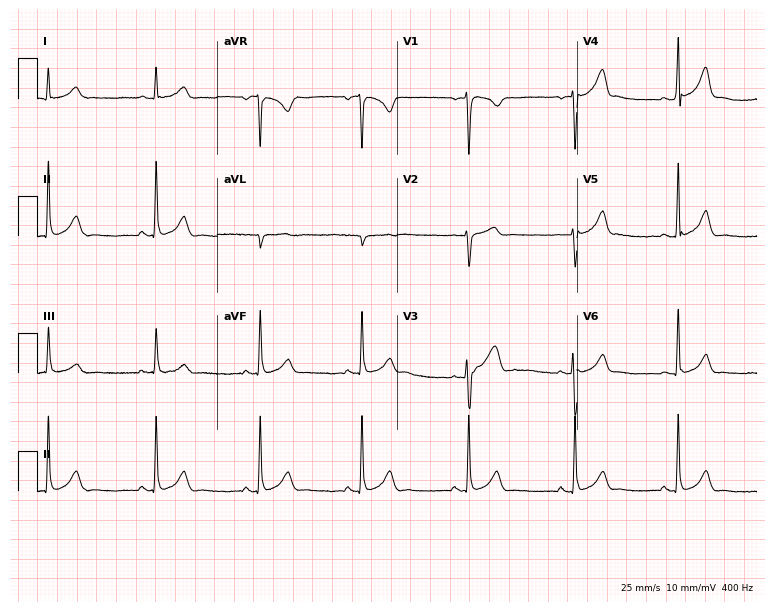
12-lead ECG from a 28-year-old male (7.3-second recording at 400 Hz). Recorded interpretation: within normal limits.